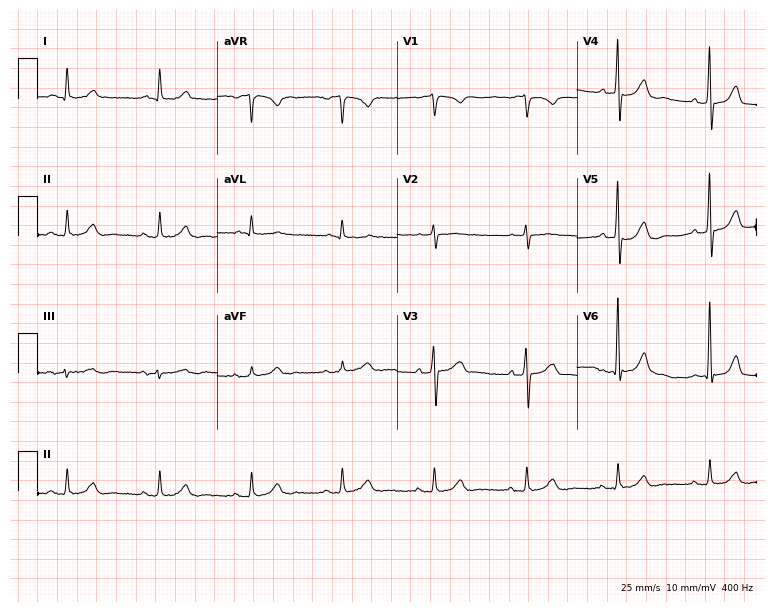
Standard 12-lead ECG recorded from a 79-year-old man. None of these six findings is recorded: first-degree AV block, right bundle branch block, left bundle branch block, sinus bradycardia, atrial fibrillation, sinus tachycardia.